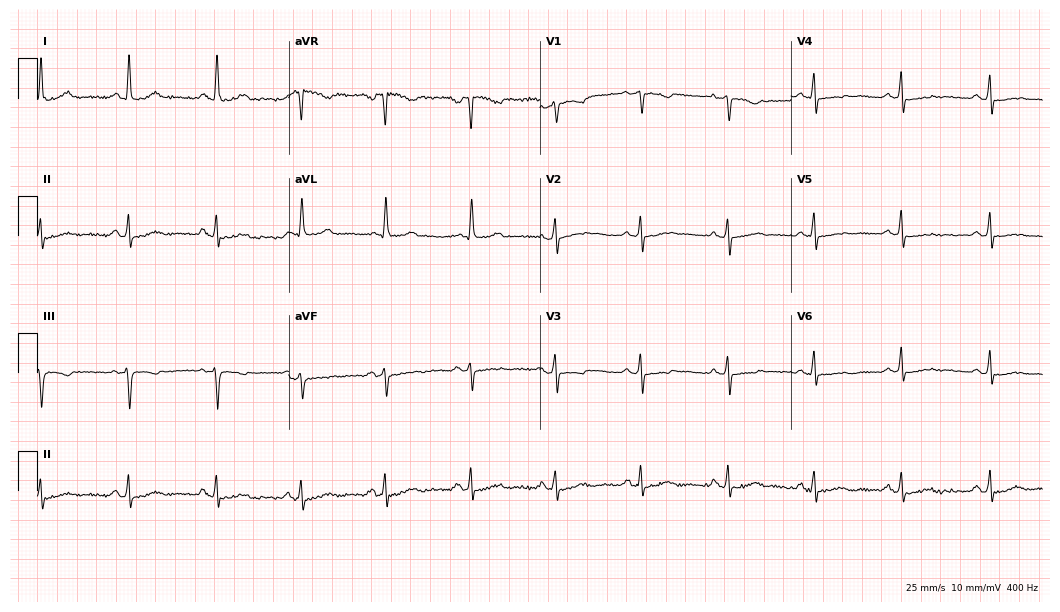
12-lead ECG from a 49-year-old female. Recorded interpretation: within normal limits.